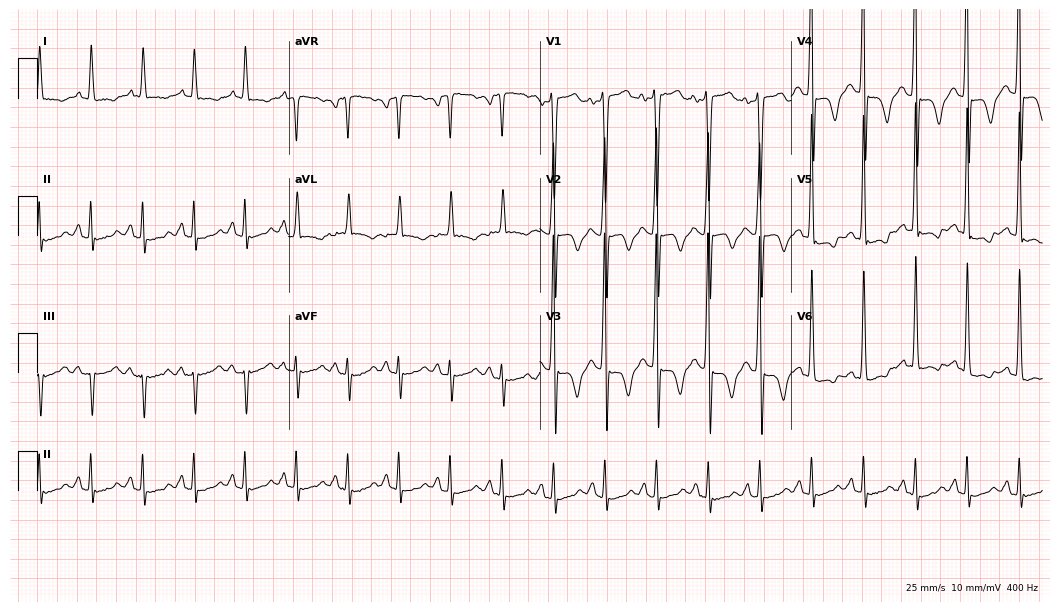
Standard 12-lead ECG recorded from a man, 39 years old (10.2-second recording at 400 Hz). The tracing shows sinus tachycardia (a sinus rate of 100 beats per minute or more).